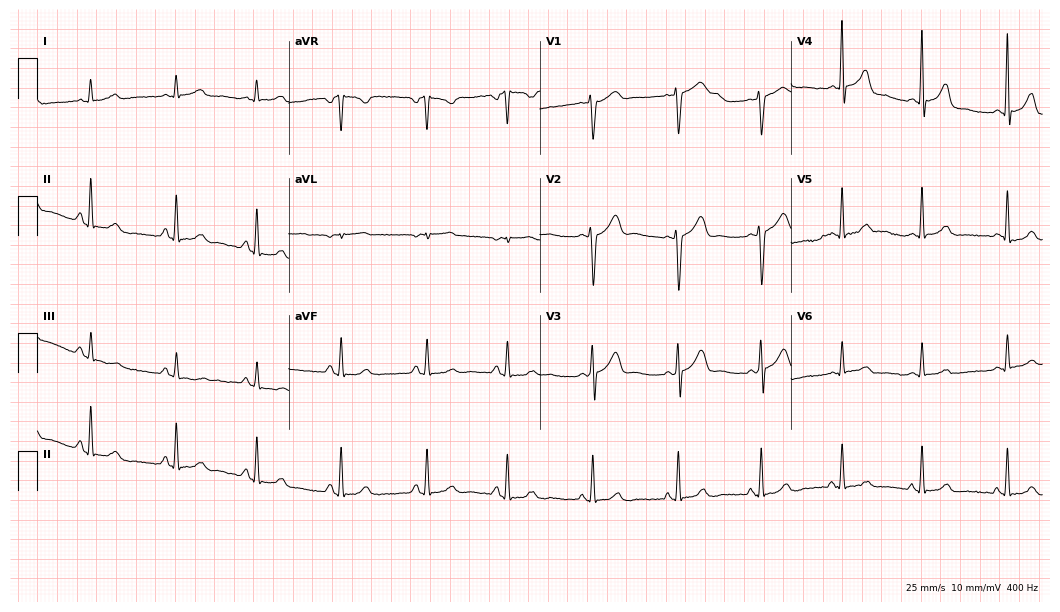
Standard 12-lead ECG recorded from a woman, 35 years old (10.2-second recording at 400 Hz). None of these six findings is recorded: first-degree AV block, right bundle branch block (RBBB), left bundle branch block (LBBB), sinus bradycardia, atrial fibrillation (AF), sinus tachycardia. Other findings, if any, are not listed.